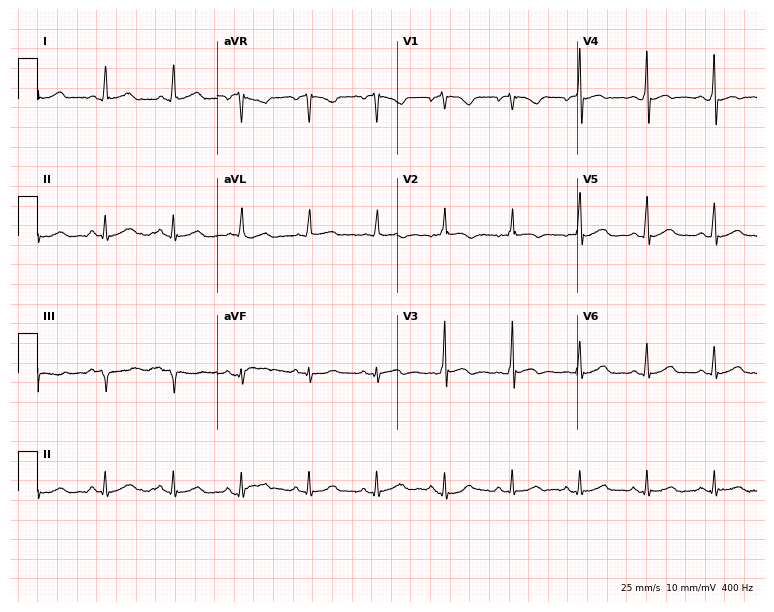
Electrocardiogram, a 73-year-old male. Of the six screened findings (first-degree AV block, right bundle branch block (RBBB), left bundle branch block (LBBB), sinus bradycardia, atrial fibrillation (AF), sinus tachycardia), none is recorded. Findings outside these six are not listed.